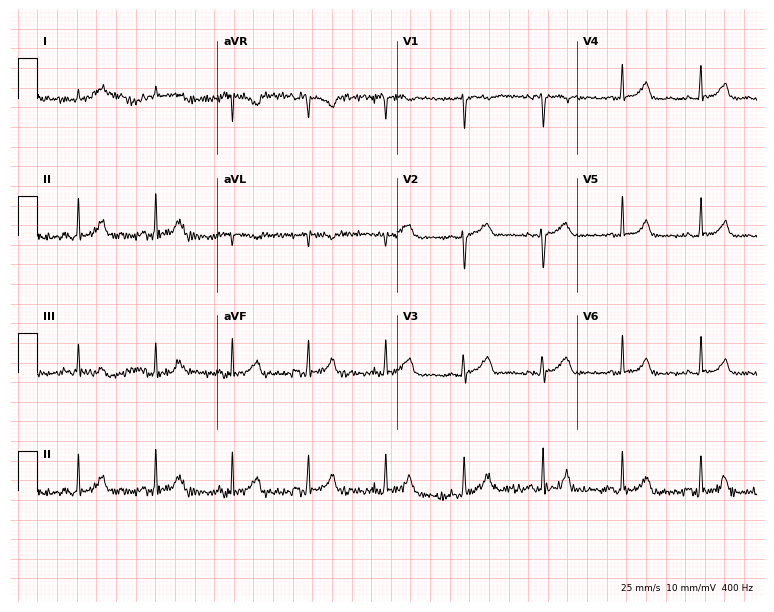
12-lead ECG from a 32-year-old female. Recorded interpretation: within normal limits.